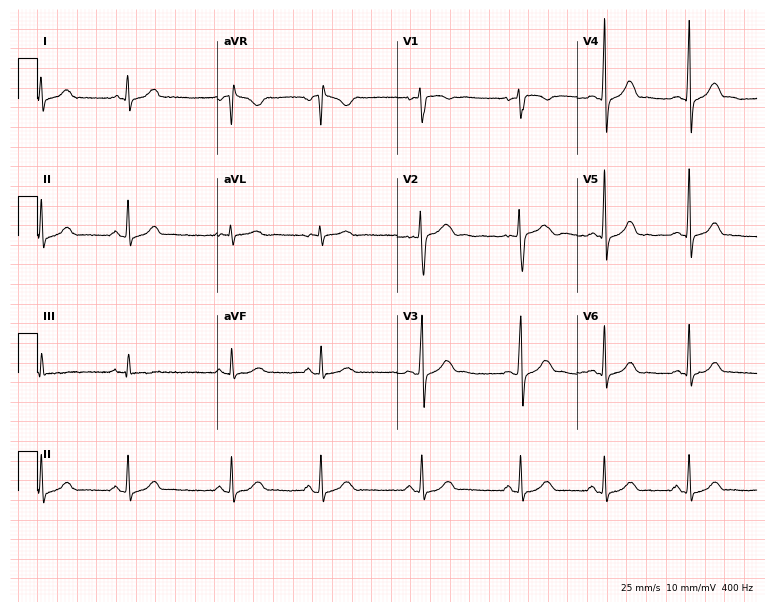
Resting 12-lead electrocardiogram (7.3-second recording at 400 Hz). Patient: a 25-year-old woman. Read as a normal ECG.